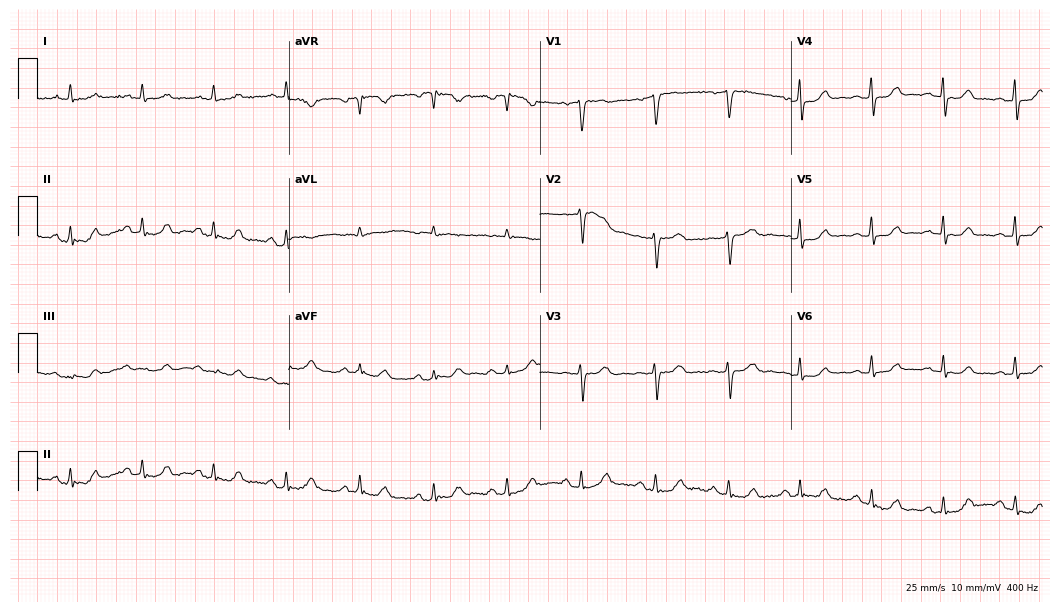
ECG (10.2-second recording at 400 Hz) — a female, 53 years old. Labelled as a normal ECG.